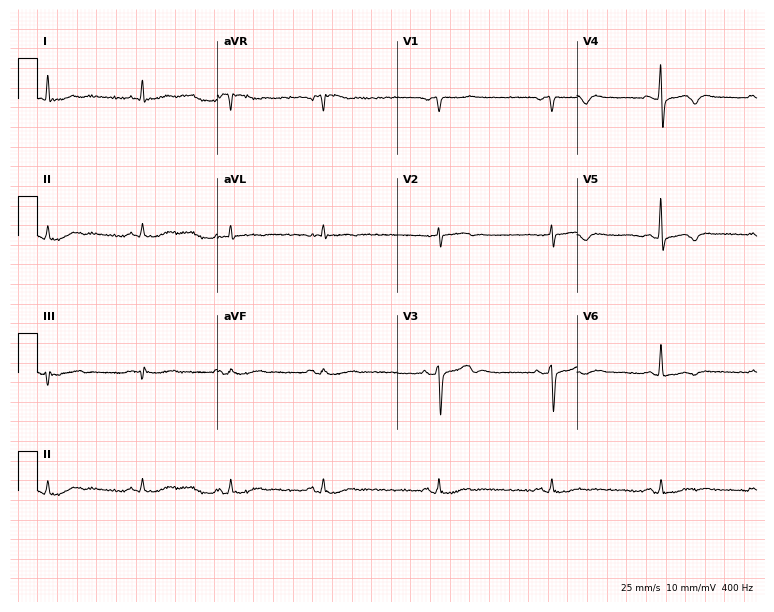
12-lead ECG from a man, 76 years old. No first-degree AV block, right bundle branch block, left bundle branch block, sinus bradycardia, atrial fibrillation or sinus tachycardia recorded for this tracing.